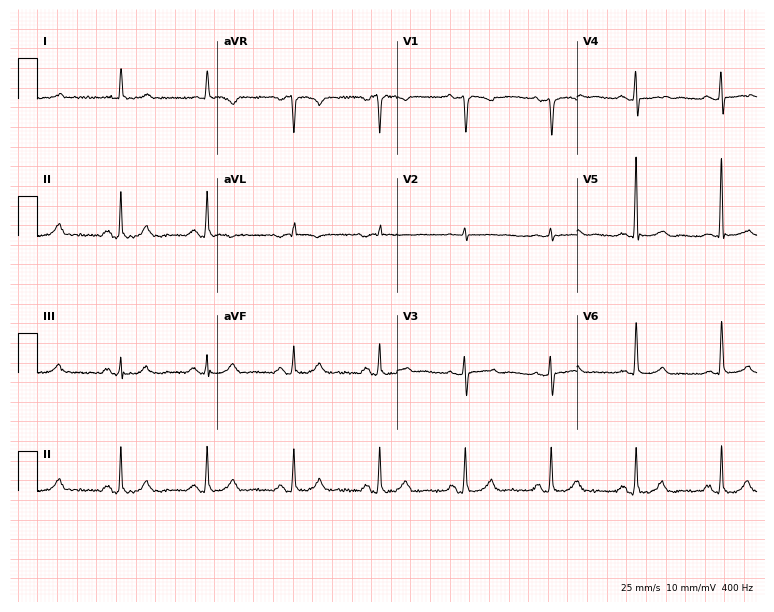
12-lead ECG from a 76-year-old woman. Screened for six findings — first-degree AV block, right bundle branch block, left bundle branch block, sinus bradycardia, atrial fibrillation, sinus tachycardia — none is recorded. Findings outside these six are not listed.